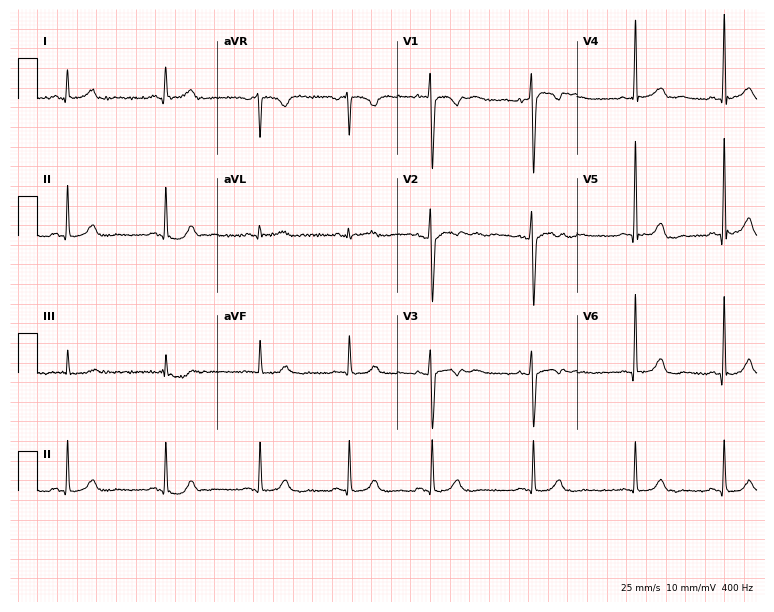
Electrocardiogram (7.3-second recording at 400 Hz), a 30-year-old woman. Overall reading on record: normal ECG.